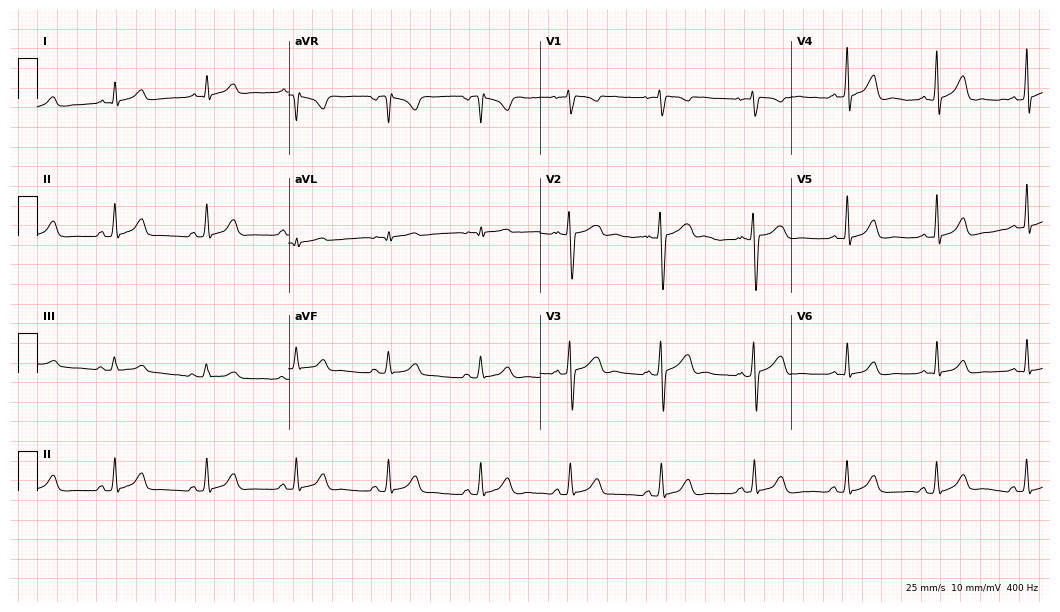
12-lead ECG from a 27-year-old woman (10.2-second recording at 400 Hz). Recorded interpretation: within normal limits.